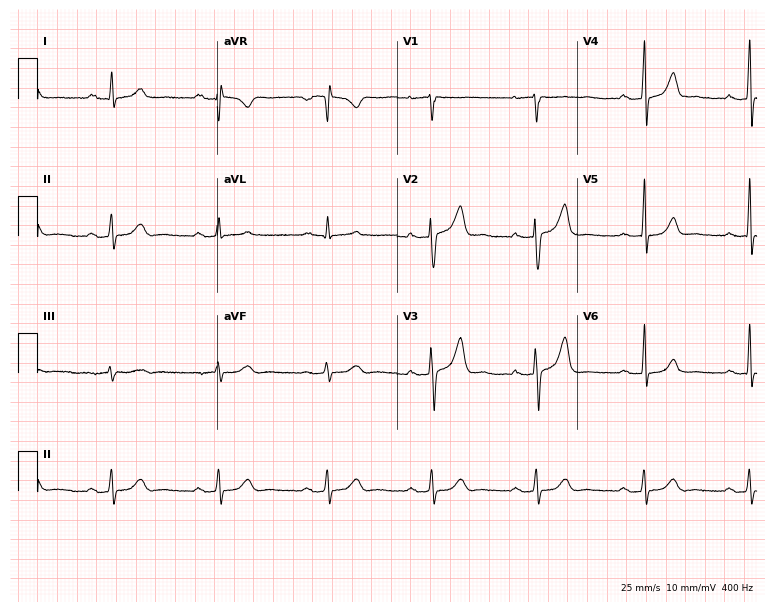
Standard 12-lead ECG recorded from a 41-year-old man (7.3-second recording at 400 Hz). The tracing shows first-degree AV block.